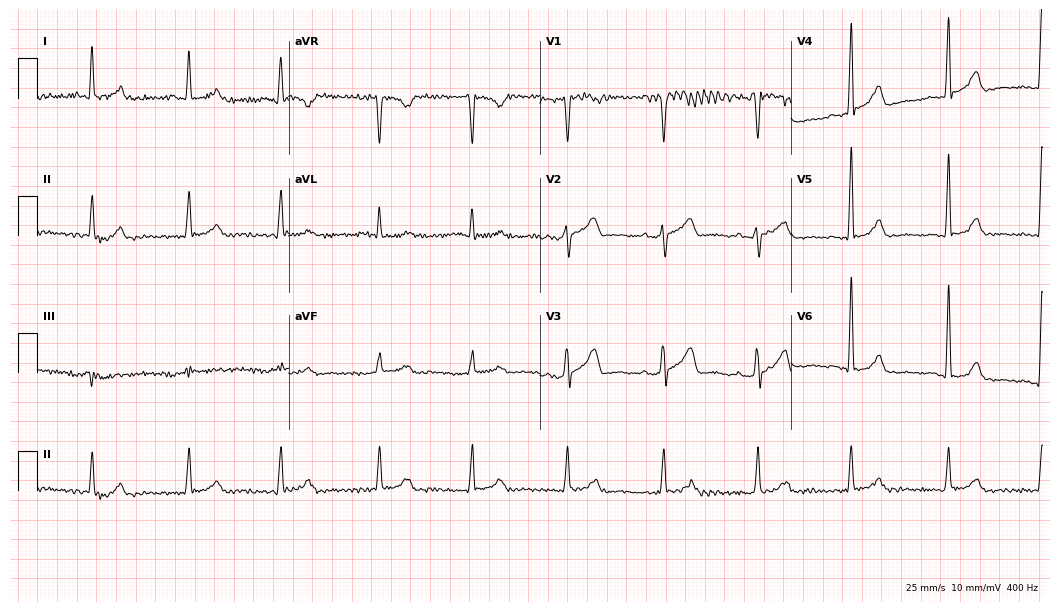
Resting 12-lead electrocardiogram. Patient: a man, 59 years old. None of these six findings is recorded: first-degree AV block, right bundle branch block, left bundle branch block, sinus bradycardia, atrial fibrillation, sinus tachycardia.